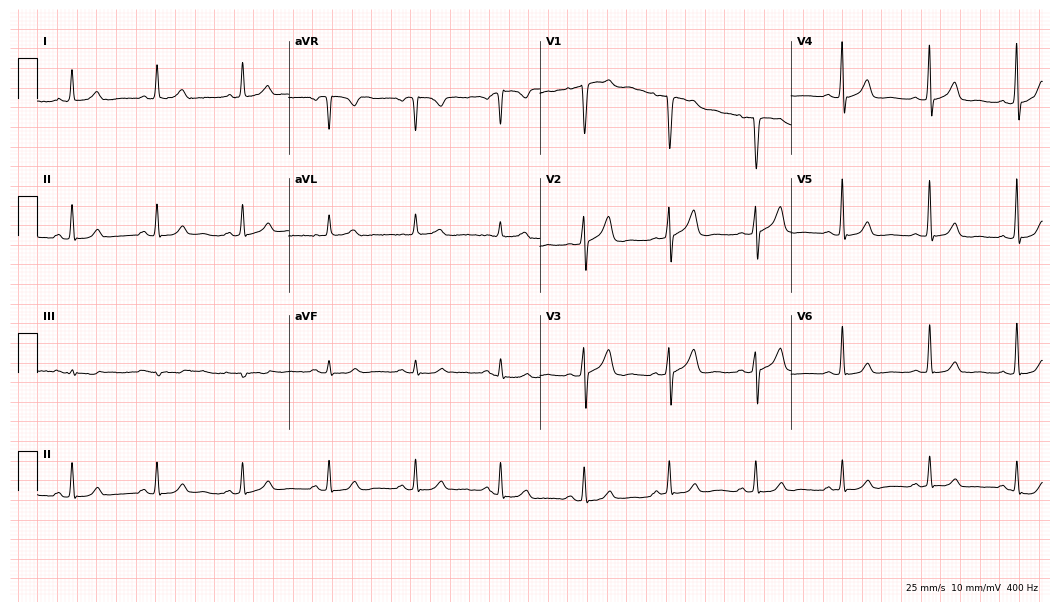
12-lead ECG from a 59-year-old male patient (10.2-second recording at 400 Hz). Recorded interpretation: within normal limits.